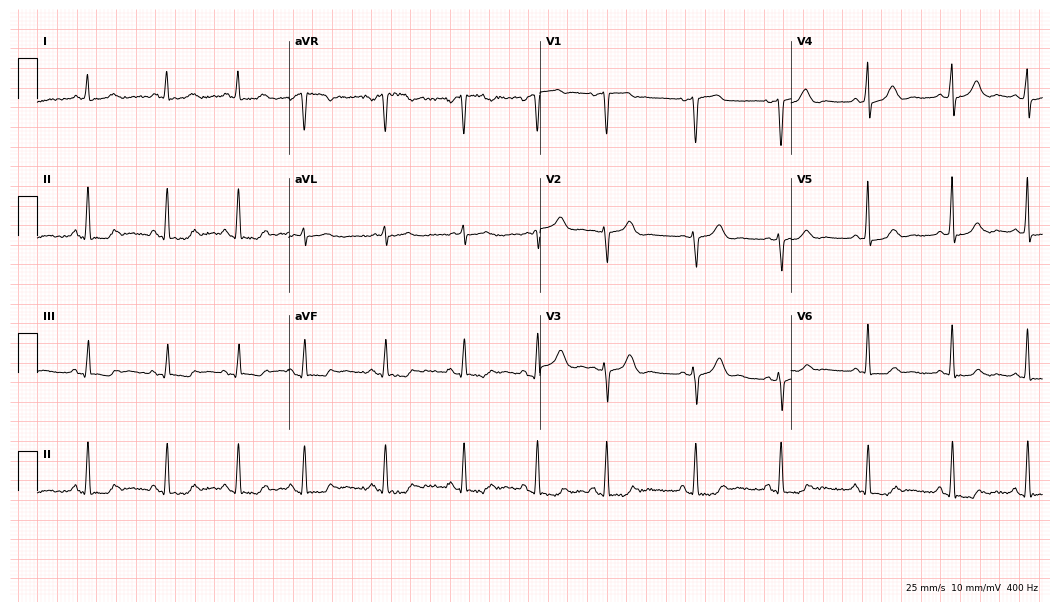
Resting 12-lead electrocardiogram. Patient: a female, 59 years old. None of these six findings is recorded: first-degree AV block, right bundle branch block, left bundle branch block, sinus bradycardia, atrial fibrillation, sinus tachycardia. Only these six findings were labelled.